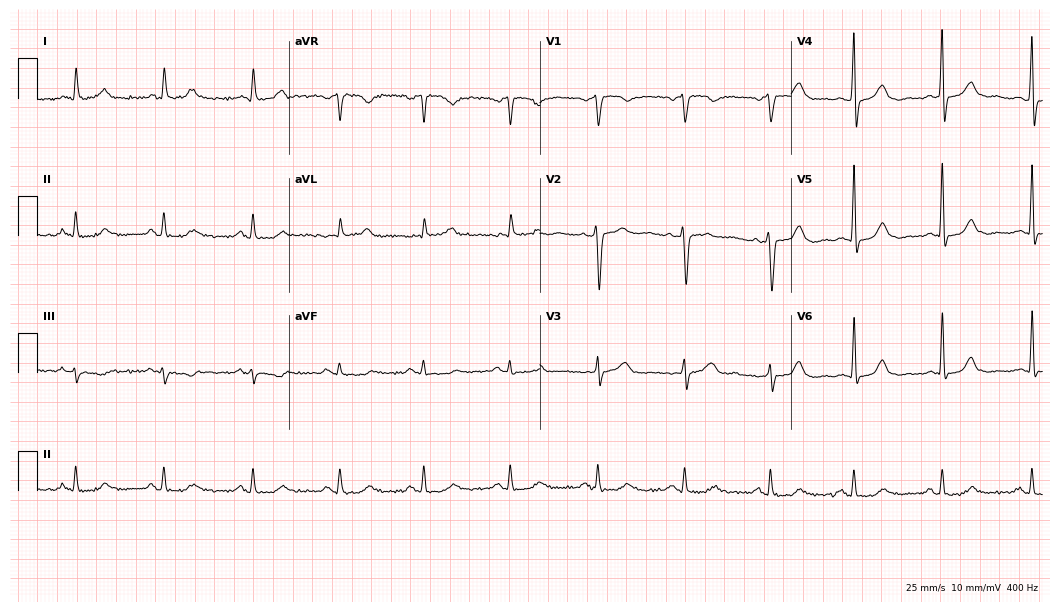
Standard 12-lead ECG recorded from a 63-year-old male (10.2-second recording at 400 Hz). Read as a normal ECG.